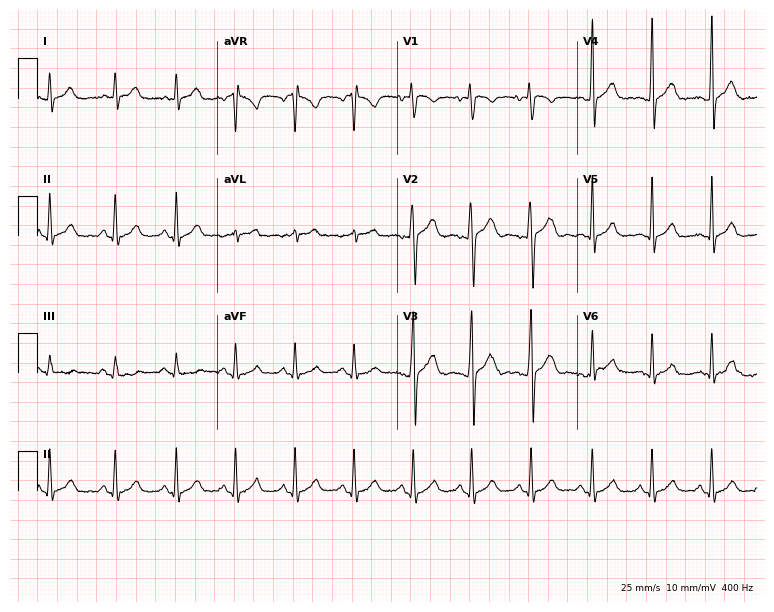
Resting 12-lead electrocardiogram (7.3-second recording at 400 Hz). Patient: a 19-year-old male. Read as a normal ECG.